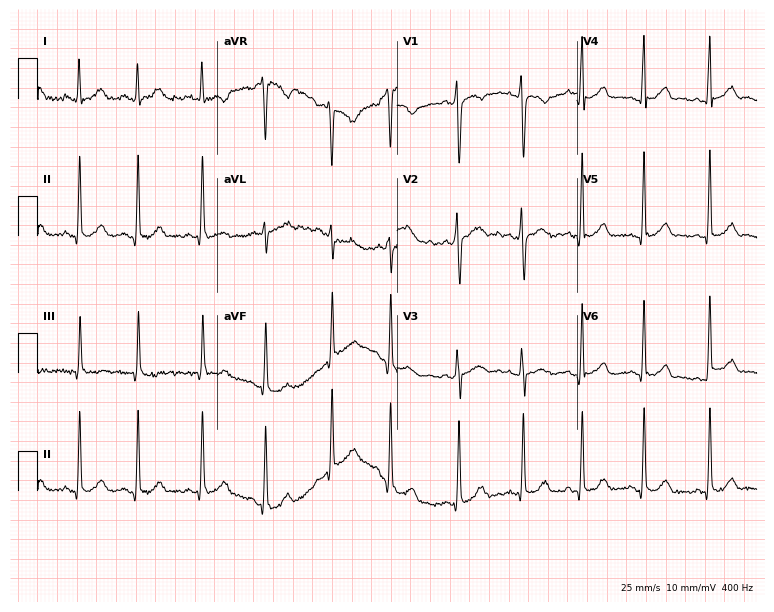
12-lead ECG from a woman, 24 years old. Labelled as a normal ECG.